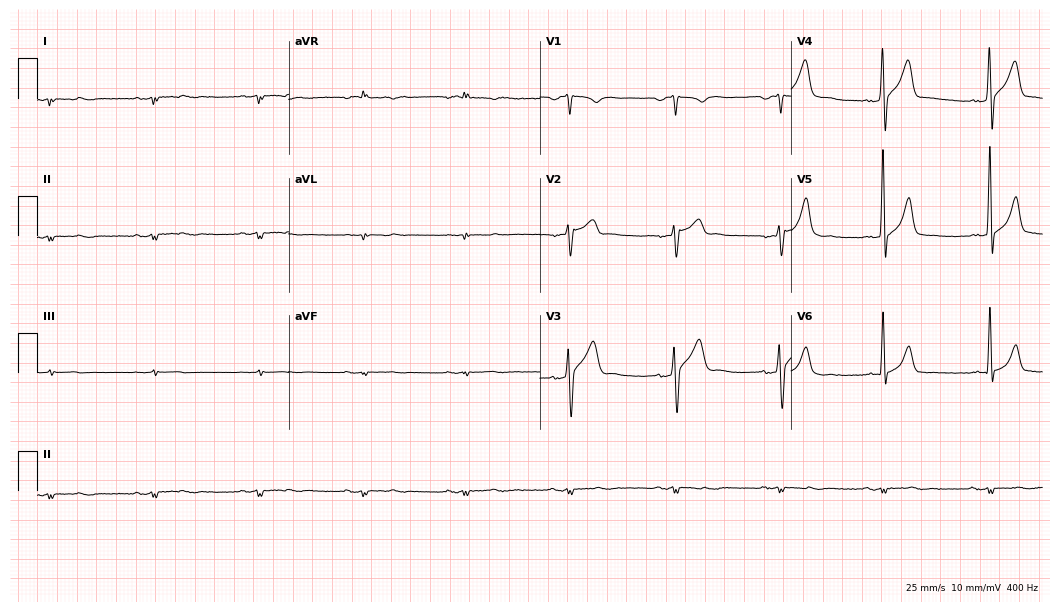
Standard 12-lead ECG recorded from a 57-year-old man (10.2-second recording at 400 Hz). None of these six findings is recorded: first-degree AV block, right bundle branch block (RBBB), left bundle branch block (LBBB), sinus bradycardia, atrial fibrillation (AF), sinus tachycardia.